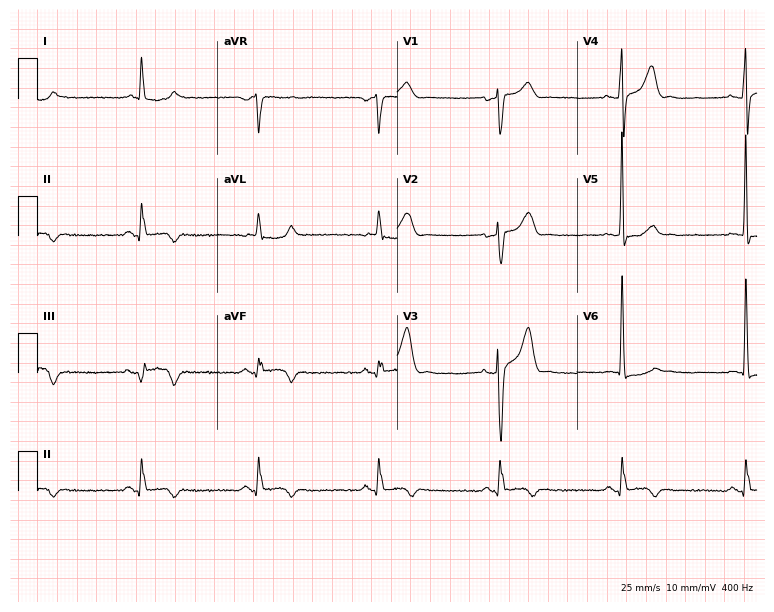
ECG — a 66-year-old man. Findings include sinus bradycardia (a sinus rate of 50 beats per minute or less).